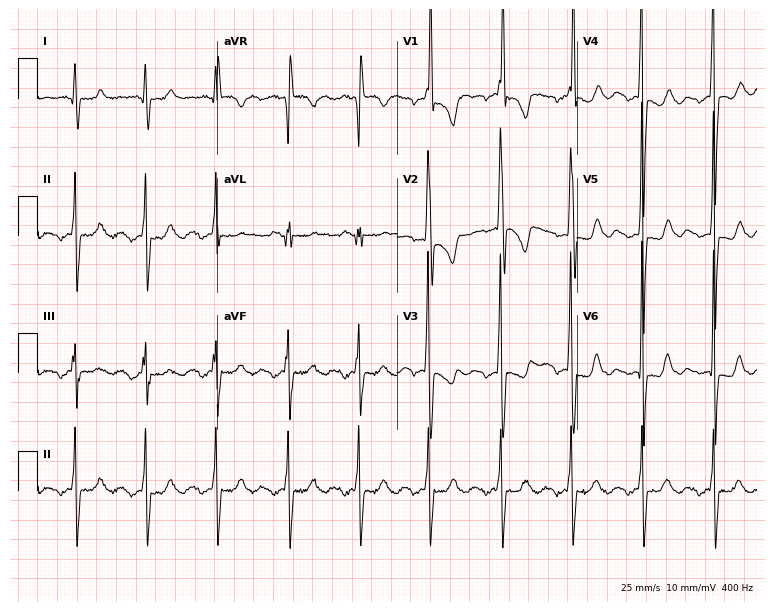
ECG (7.3-second recording at 400 Hz) — a female, 30 years old. Screened for six findings — first-degree AV block, right bundle branch block (RBBB), left bundle branch block (LBBB), sinus bradycardia, atrial fibrillation (AF), sinus tachycardia — none is recorded. Only these six findings were labelled.